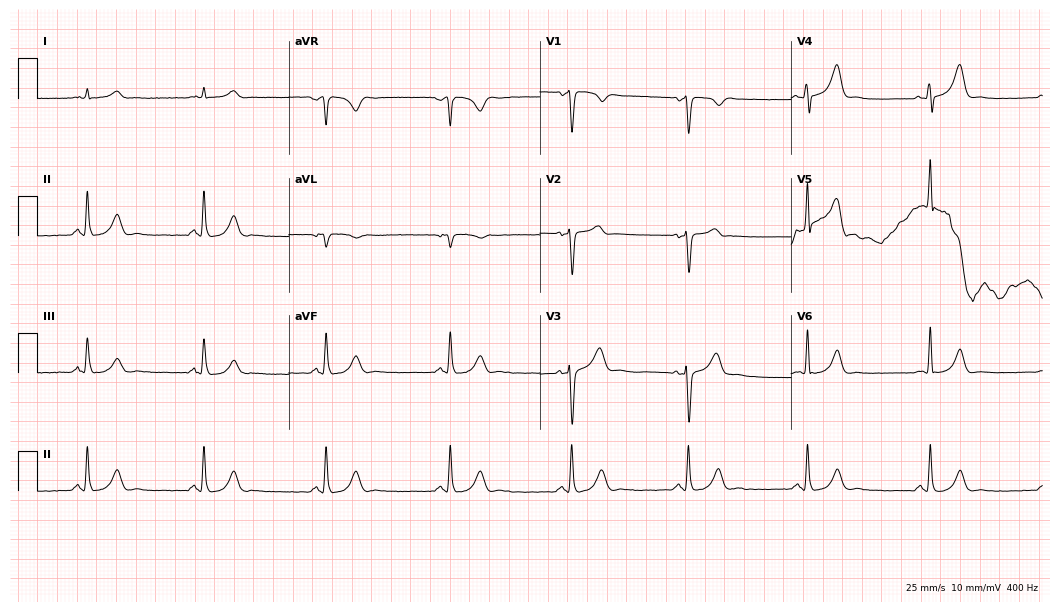
Resting 12-lead electrocardiogram. Patient: a 44-year-old male. Read as a normal ECG.